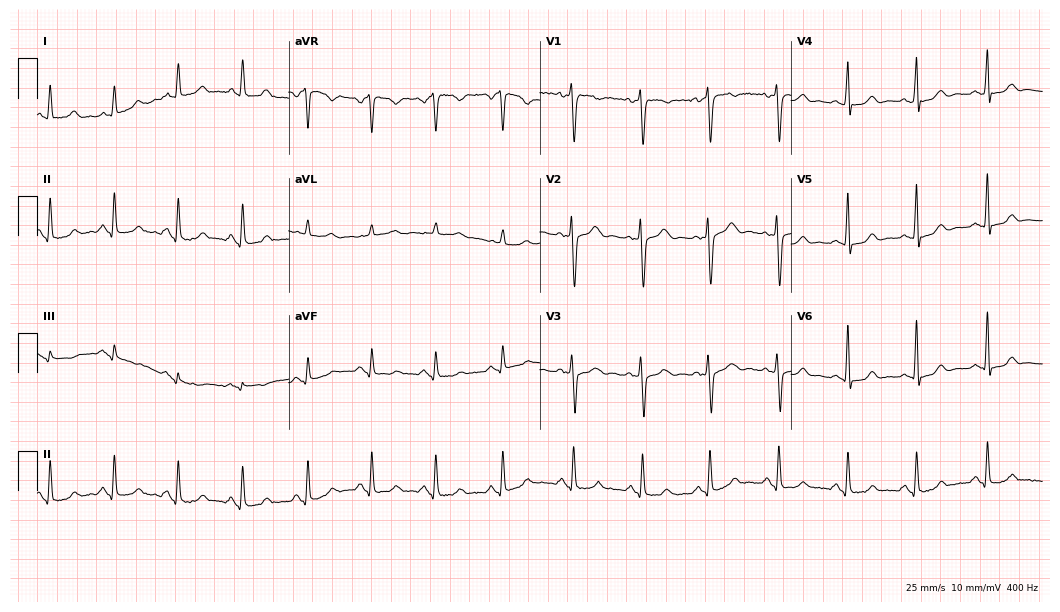
12-lead ECG from a 32-year-old female (10.2-second recording at 400 Hz). No first-degree AV block, right bundle branch block, left bundle branch block, sinus bradycardia, atrial fibrillation or sinus tachycardia recorded for this tracing.